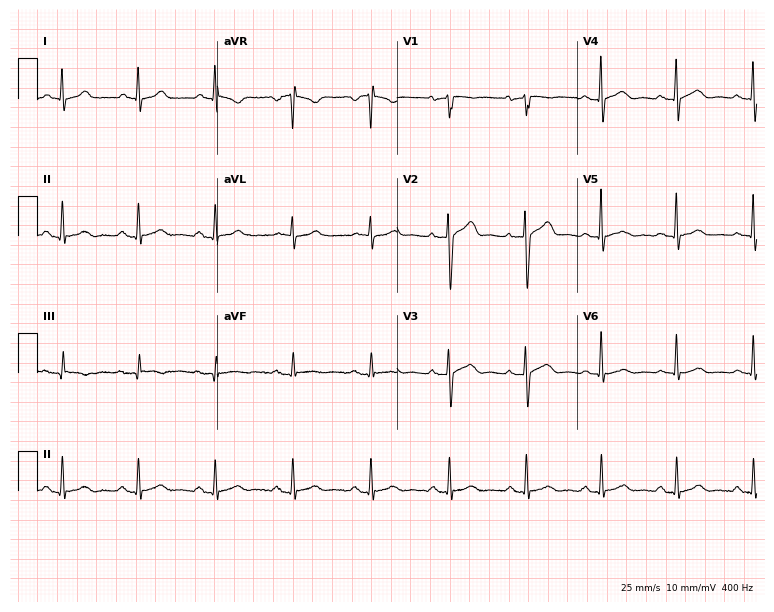
12-lead ECG from a 63-year-old male. Labelled as a normal ECG.